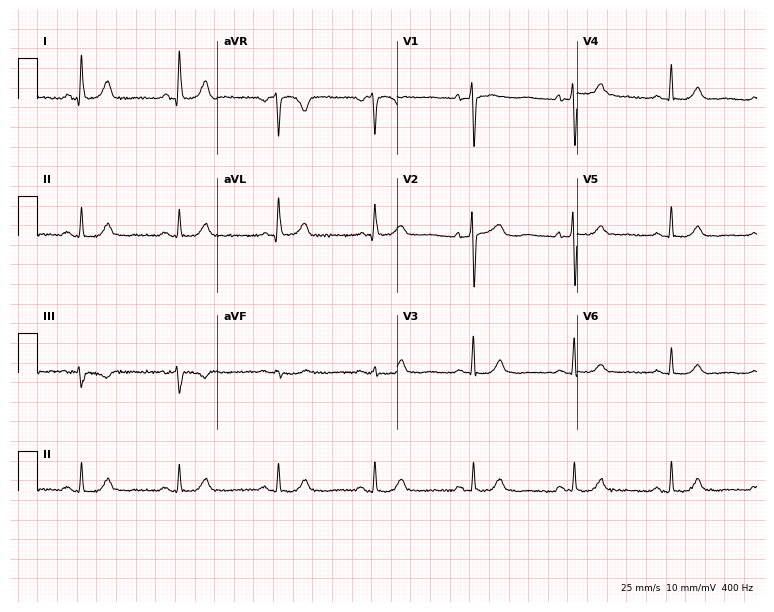
ECG (7.3-second recording at 400 Hz) — a female patient, 72 years old. Labelled as a normal ECG.